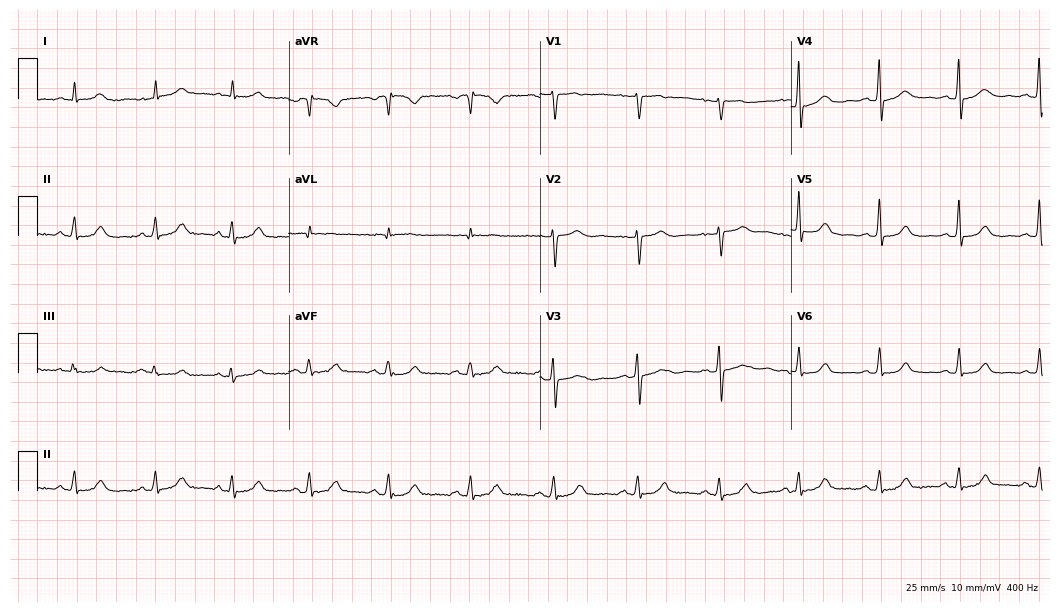
Standard 12-lead ECG recorded from a woman, 53 years old. Read as a normal ECG.